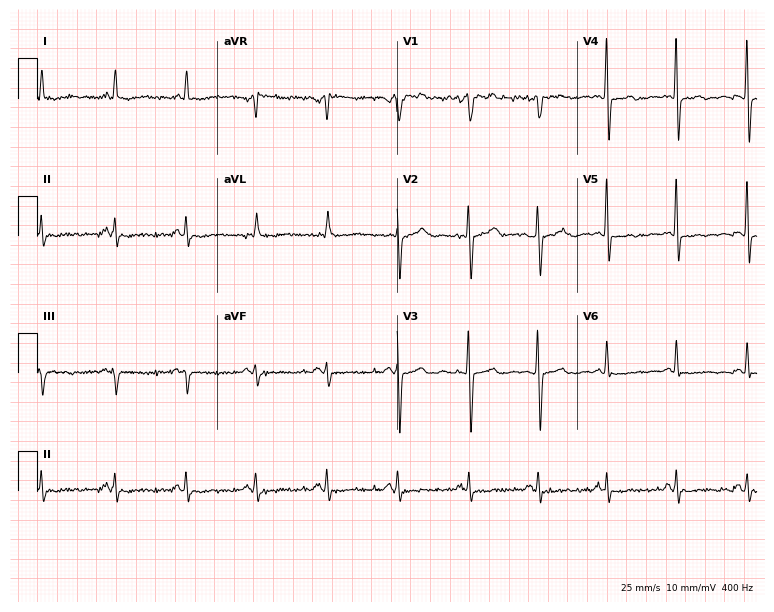
12-lead ECG from a female, 58 years old. Screened for six findings — first-degree AV block, right bundle branch block (RBBB), left bundle branch block (LBBB), sinus bradycardia, atrial fibrillation (AF), sinus tachycardia — none is recorded. Other findings, if any, are not listed.